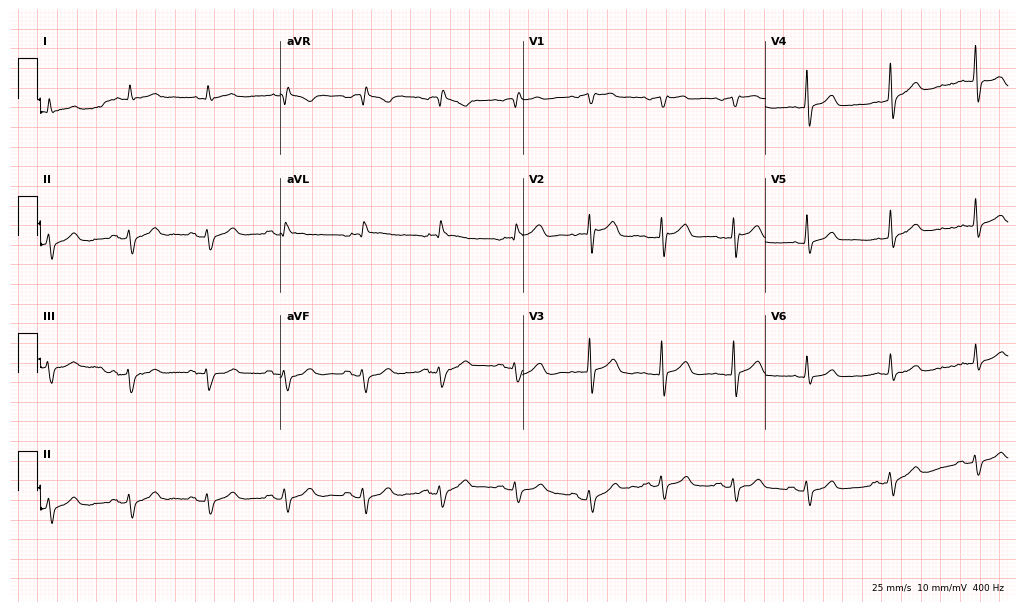
12-lead ECG (9.9-second recording at 400 Hz) from a 79-year-old man. Screened for six findings — first-degree AV block, right bundle branch block (RBBB), left bundle branch block (LBBB), sinus bradycardia, atrial fibrillation (AF), sinus tachycardia — none is recorded. Findings outside these six are not listed.